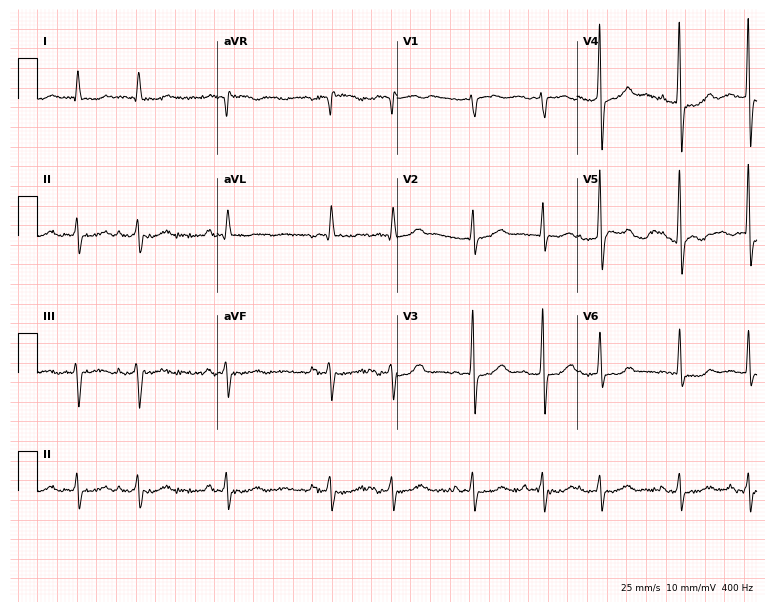
ECG (7.3-second recording at 400 Hz) — an 80-year-old male. Screened for six findings — first-degree AV block, right bundle branch block, left bundle branch block, sinus bradycardia, atrial fibrillation, sinus tachycardia — none is recorded.